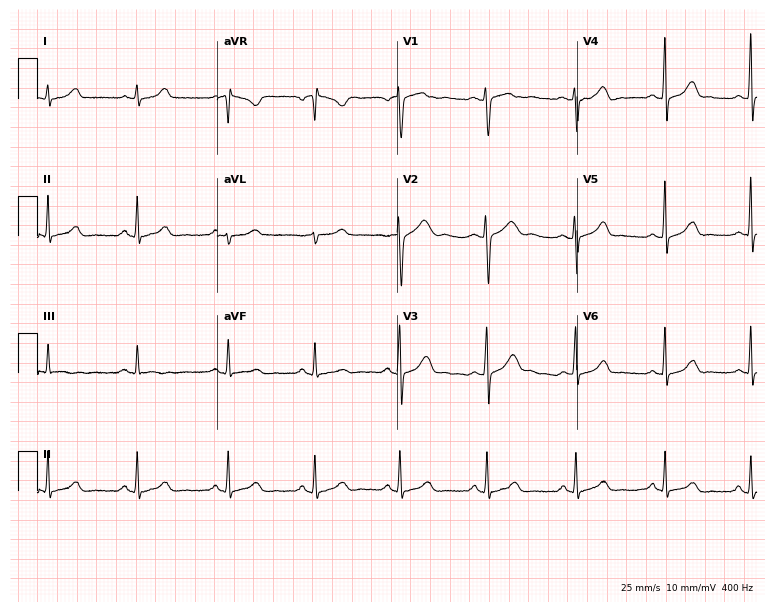
Standard 12-lead ECG recorded from a 37-year-old woman (7.3-second recording at 400 Hz). Read as a normal ECG.